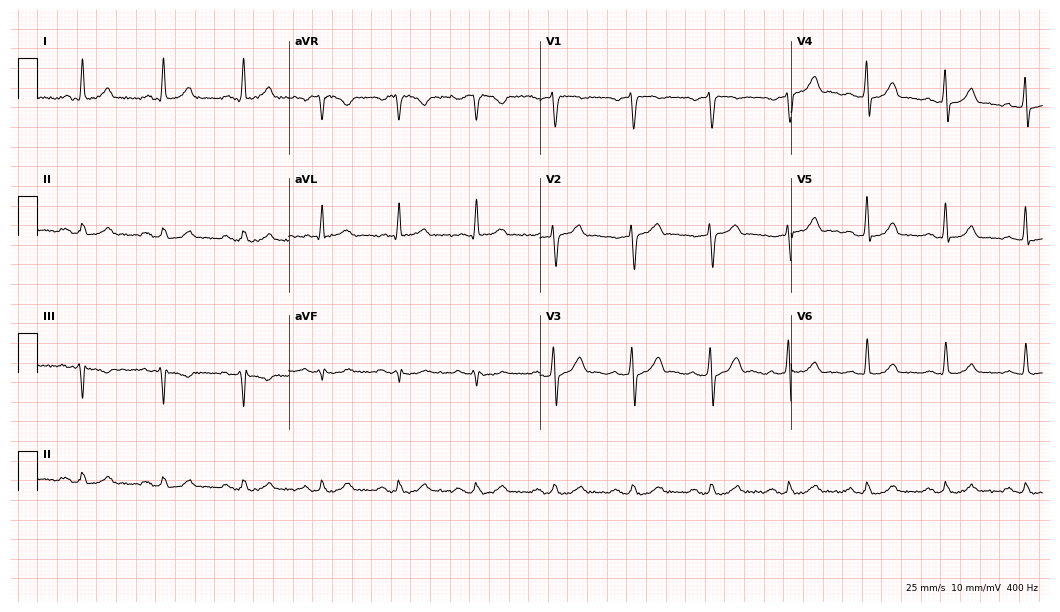
Standard 12-lead ECG recorded from a male patient, 44 years old (10.2-second recording at 400 Hz). None of these six findings is recorded: first-degree AV block, right bundle branch block (RBBB), left bundle branch block (LBBB), sinus bradycardia, atrial fibrillation (AF), sinus tachycardia.